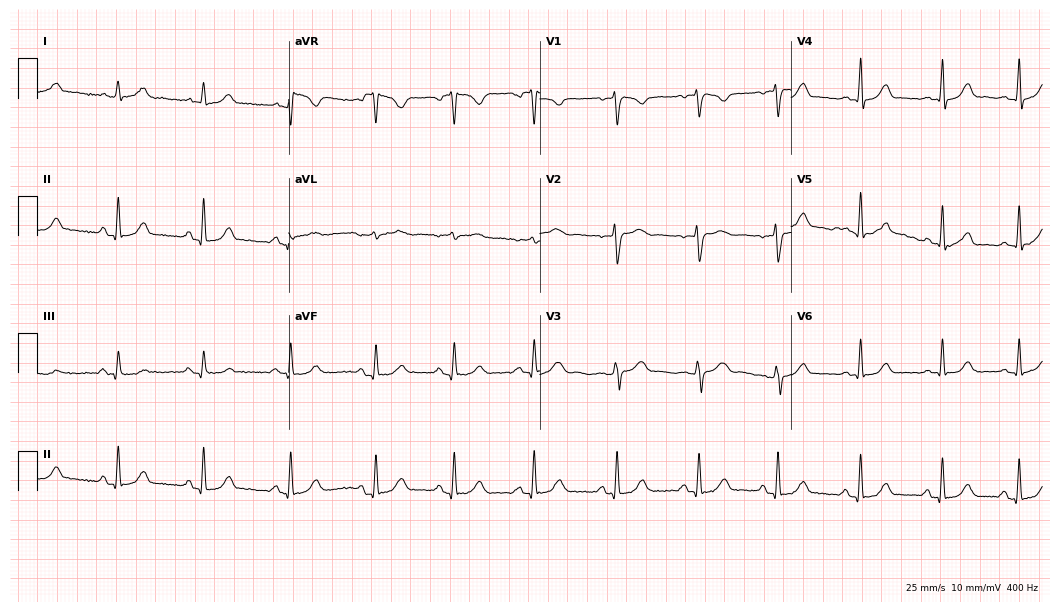
Standard 12-lead ECG recorded from a 36-year-old female. Read as a normal ECG.